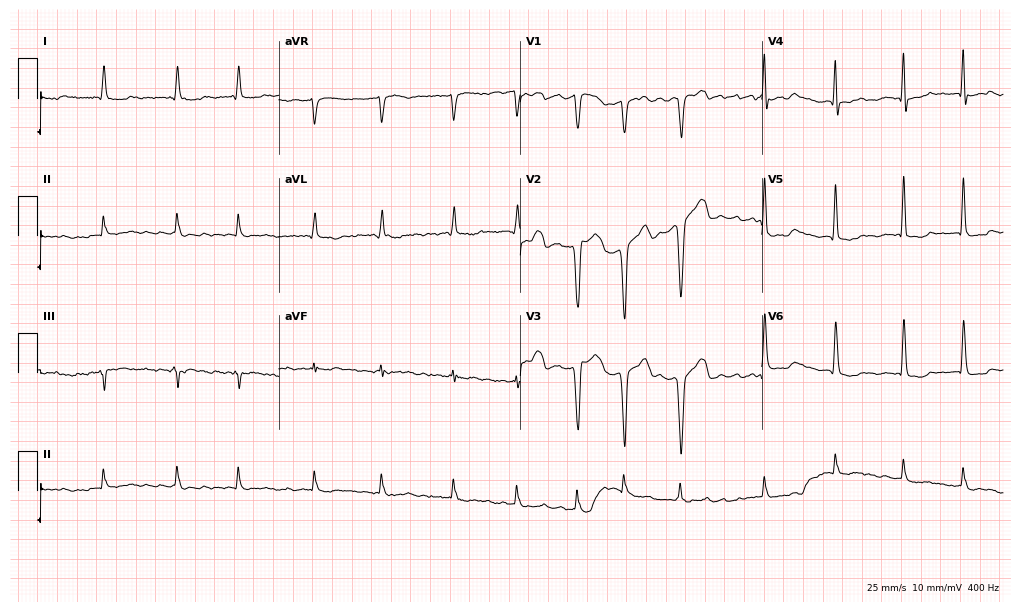
Electrocardiogram (9.8-second recording at 400 Hz), a 69-year-old male patient. Interpretation includes atrial fibrillation.